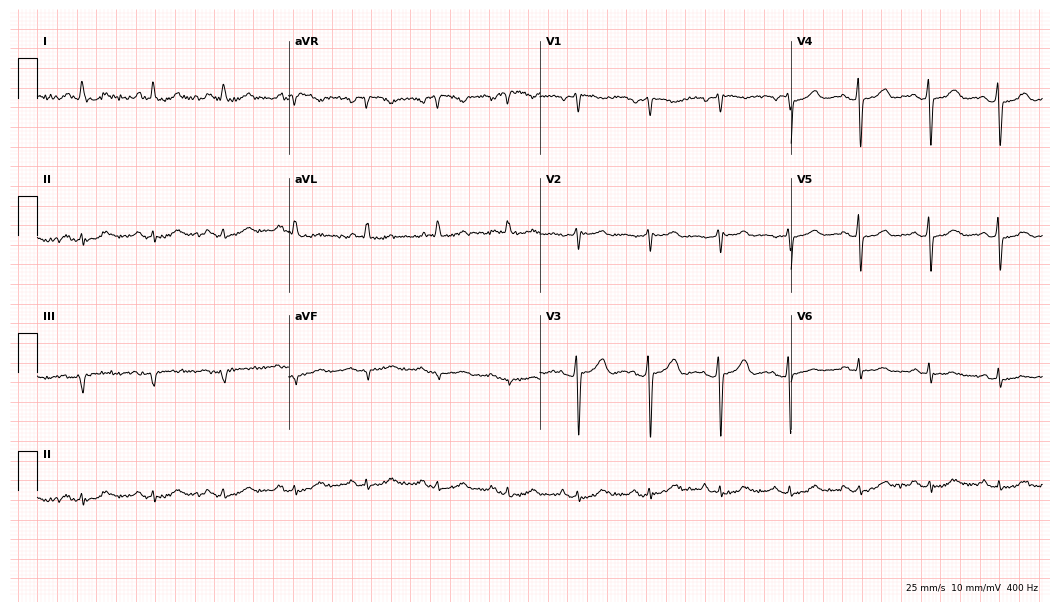
12-lead ECG from a male patient, 70 years old. Screened for six findings — first-degree AV block, right bundle branch block (RBBB), left bundle branch block (LBBB), sinus bradycardia, atrial fibrillation (AF), sinus tachycardia — none is recorded.